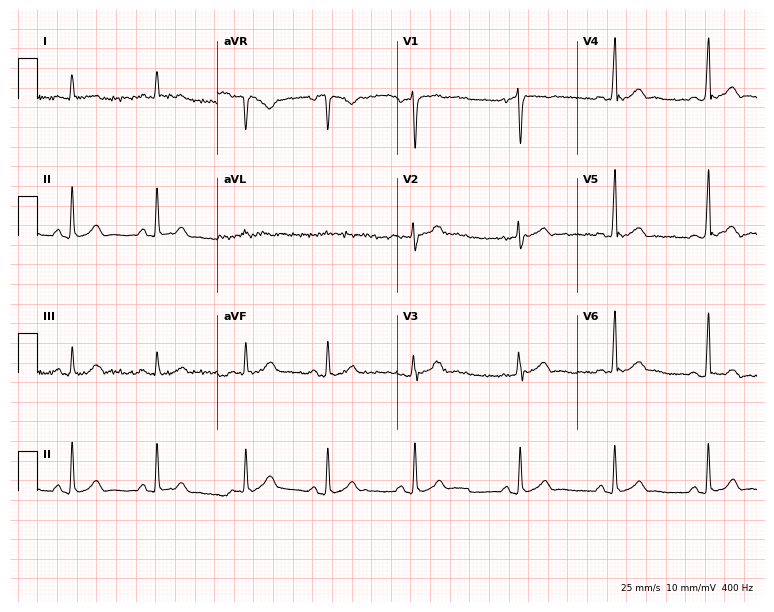
Resting 12-lead electrocardiogram (7.3-second recording at 400 Hz). Patient: a male, 28 years old. Read as a normal ECG.